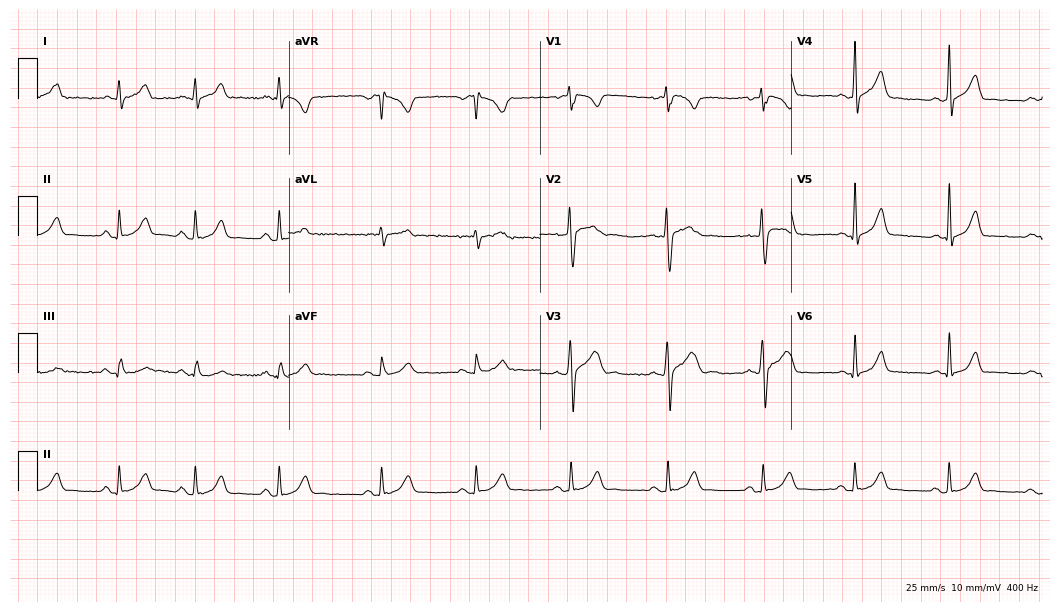
ECG — a 23-year-old man. Labelled as a normal ECG.